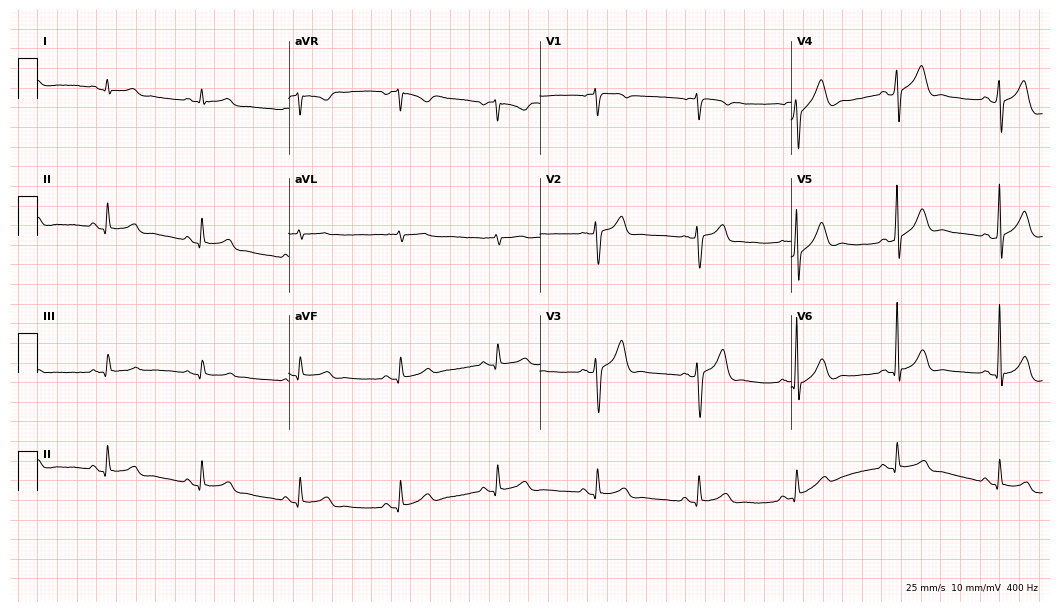
Standard 12-lead ECG recorded from a male, 67 years old. Read as a normal ECG.